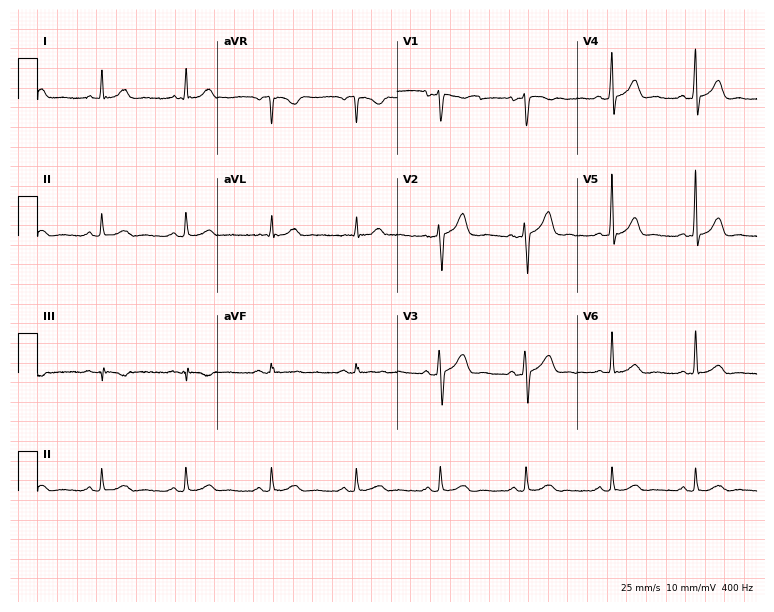
Standard 12-lead ECG recorded from a 58-year-old male. Read as a normal ECG.